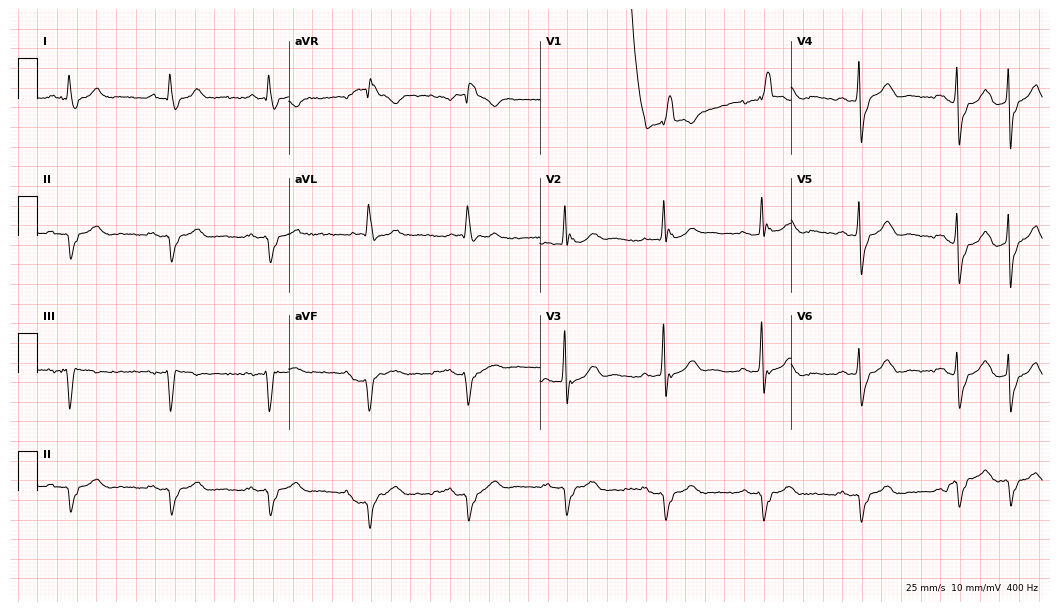
Standard 12-lead ECG recorded from a male, 78 years old. None of these six findings is recorded: first-degree AV block, right bundle branch block (RBBB), left bundle branch block (LBBB), sinus bradycardia, atrial fibrillation (AF), sinus tachycardia.